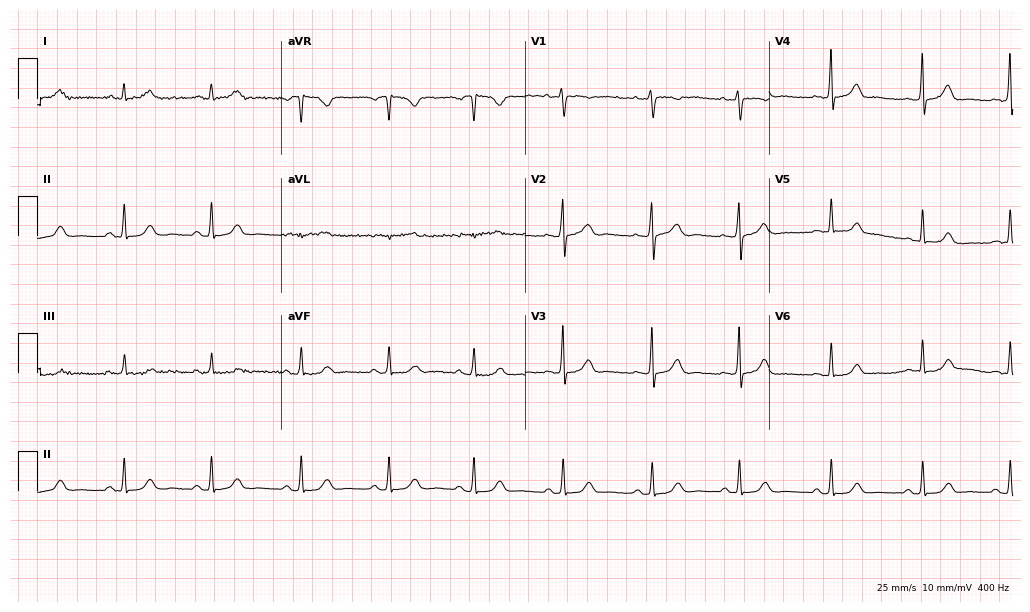
Resting 12-lead electrocardiogram. Patient: a female, 48 years old. Read as a normal ECG.